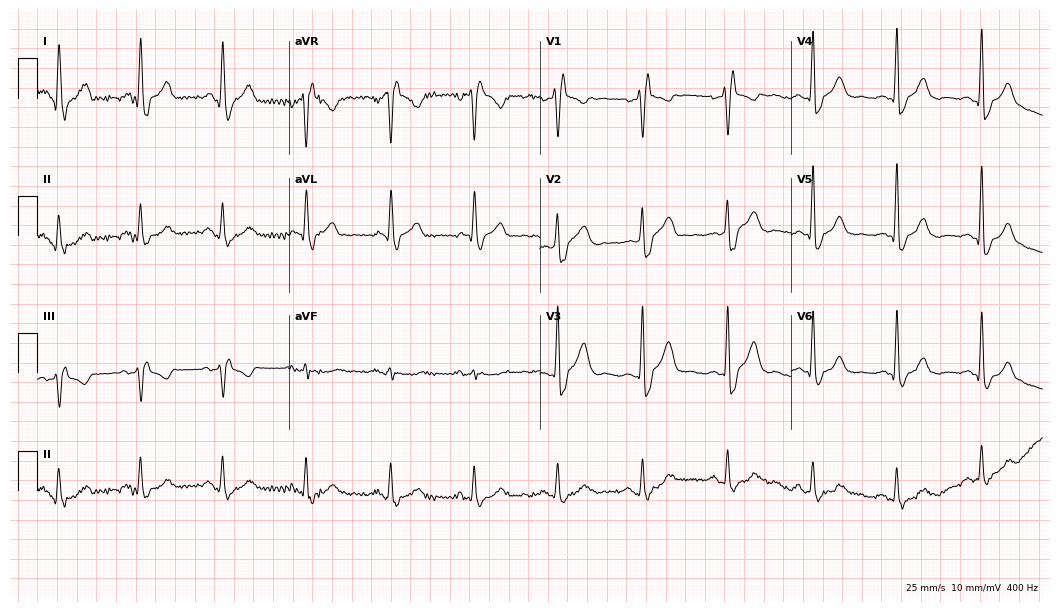
Resting 12-lead electrocardiogram (10.2-second recording at 400 Hz). Patient: a 73-year-old man. The tracing shows right bundle branch block.